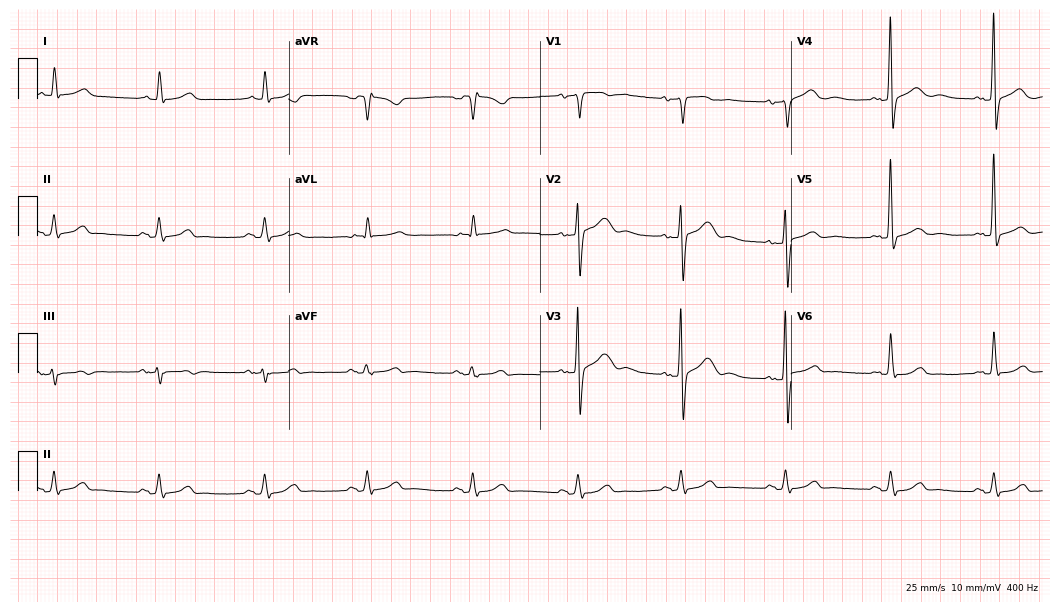
Standard 12-lead ECG recorded from a 70-year-old female patient. Read as a normal ECG.